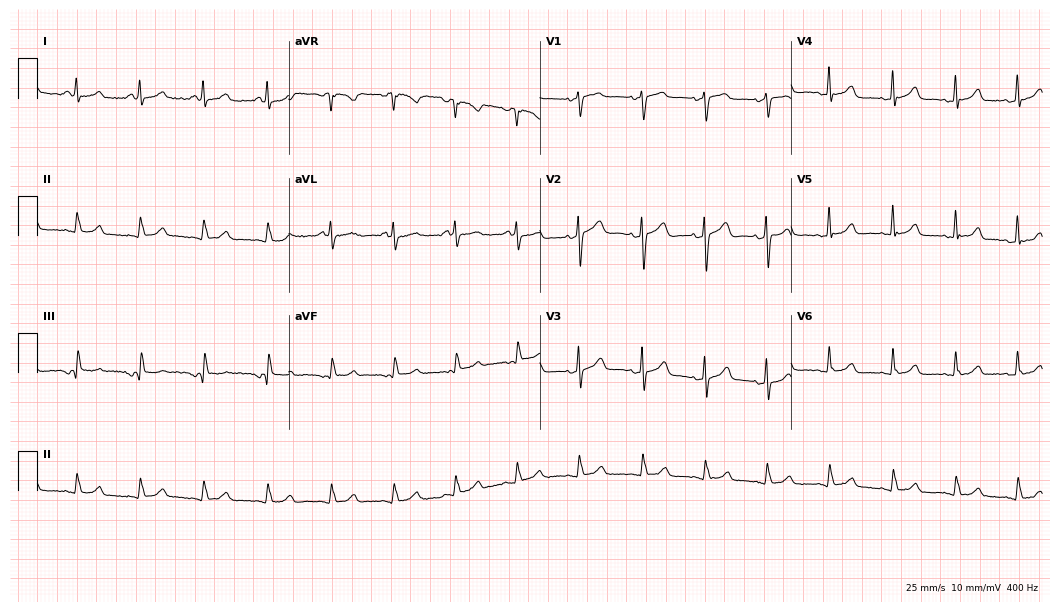
12-lead ECG (10.2-second recording at 400 Hz) from an 81-year-old female patient. Screened for six findings — first-degree AV block, right bundle branch block, left bundle branch block, sinus bradycardia, atrial fibrillation, sinus tachycardia — none is recorded. Only these six findings were labelled.